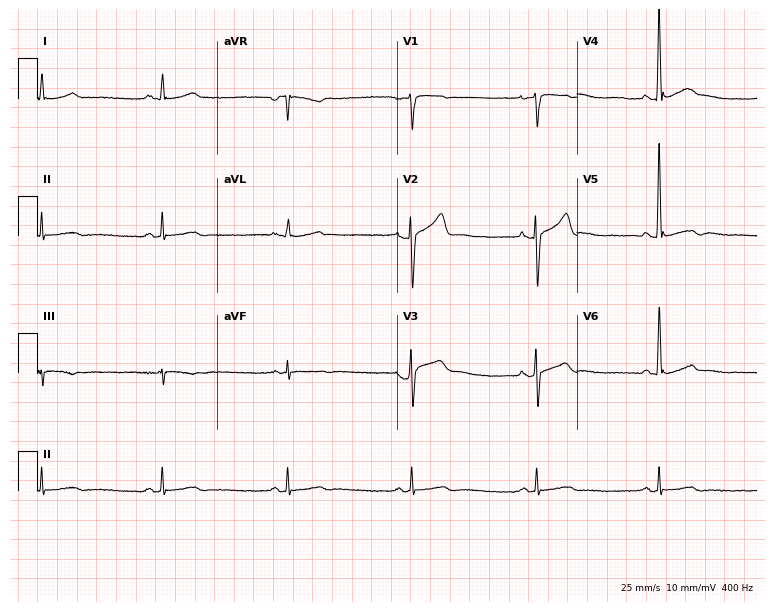
Standard 12-lead ECG recorded from a 48-year-old male patient. The tracing shows sinus bradycardia (a sinus rate of 50 beats per minute or less).